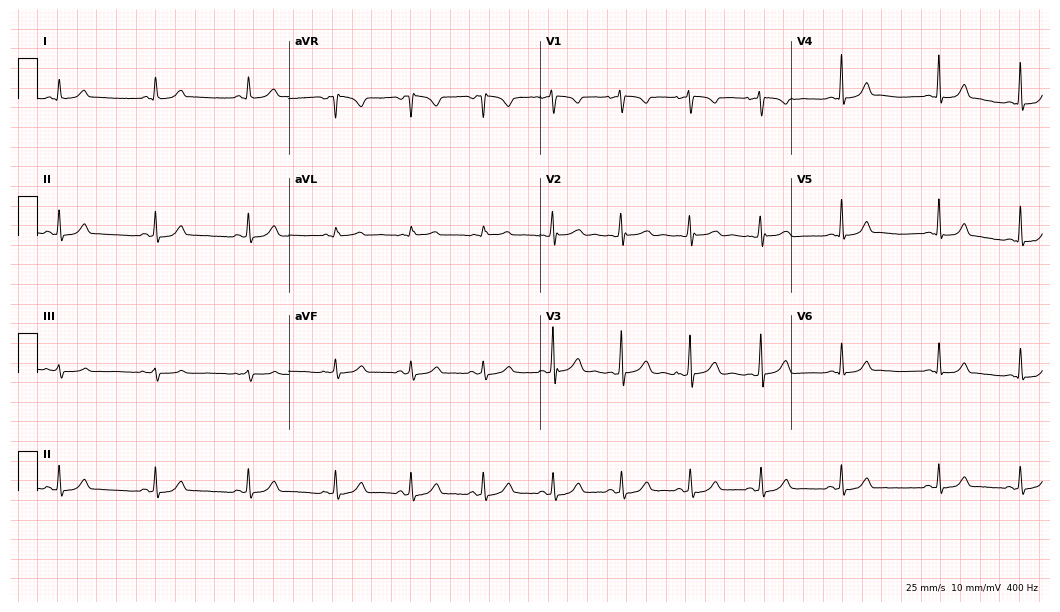
12-lead ECG from a female, 18 years old (10.2-second recording at 400 Hz). No first-degree AV block, right bundle branch block, left bundle branch block, sinus bradycardia, atrial fibrillation or sinus tachycardia recorded for this tracing. Findings outside these six are not listed.